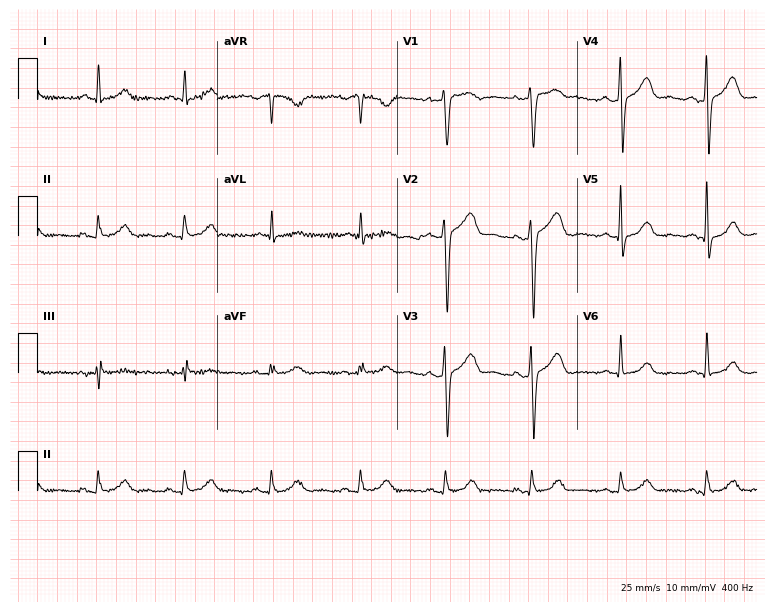
12-lead ECG (7.3-second recording at 400 Hz) from a man, 60 years old. Screened for six findings — first-degree AV block, right bundle branch block, left bundle branch block, sinus bradycardia, atrial fibrillation, sinus tachycardia — none is recorded.